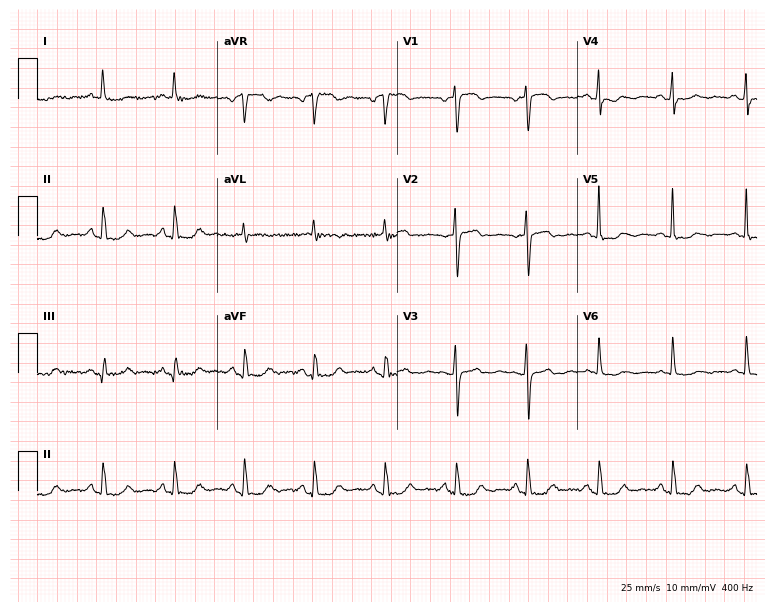
Electrocardiogram, an 80-year-old female. Of the six screened findings (first-degree AV block, right bundle branch block, left bundle branch block, sinus bradycardia, atrial fibrillation, sinus tachycardia), none is recorded.